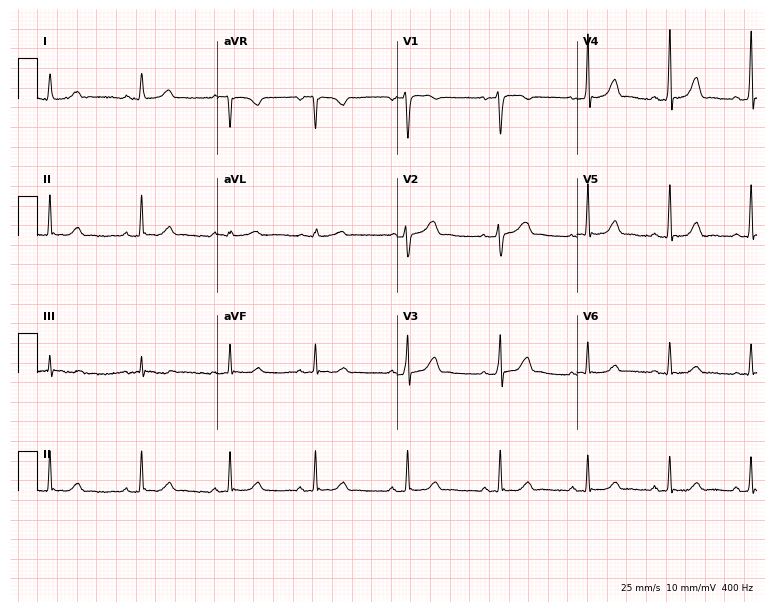
ECG — a woman, 42 years old. Screened for six findings — first-degree AV block, right bundle branch block (RBBB), left bundle branch block (LBBB), sinus bradycardia, atrial fibrillation (AF), sinus tachycardia — none is recorded.